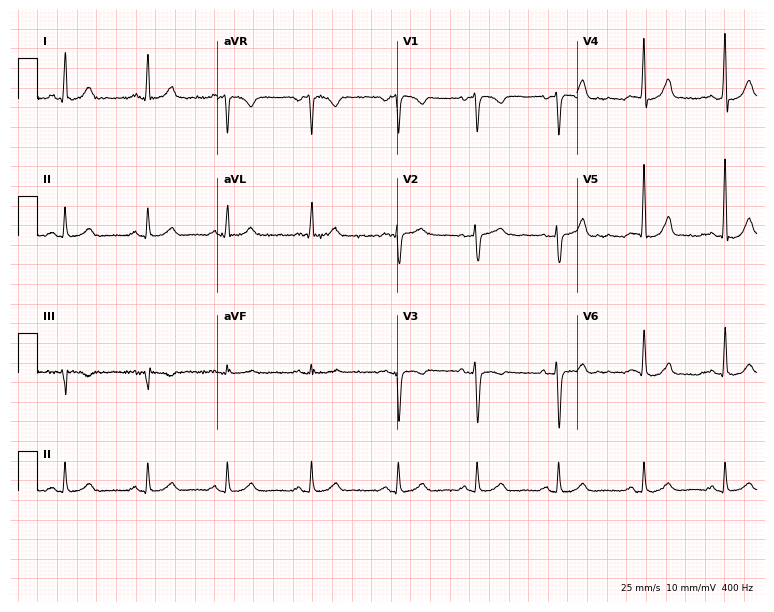
Standard 12-lead ECG recorded from a female, 45 years old (7.3-second recording at 400 Hz). Read as a normal ECG.